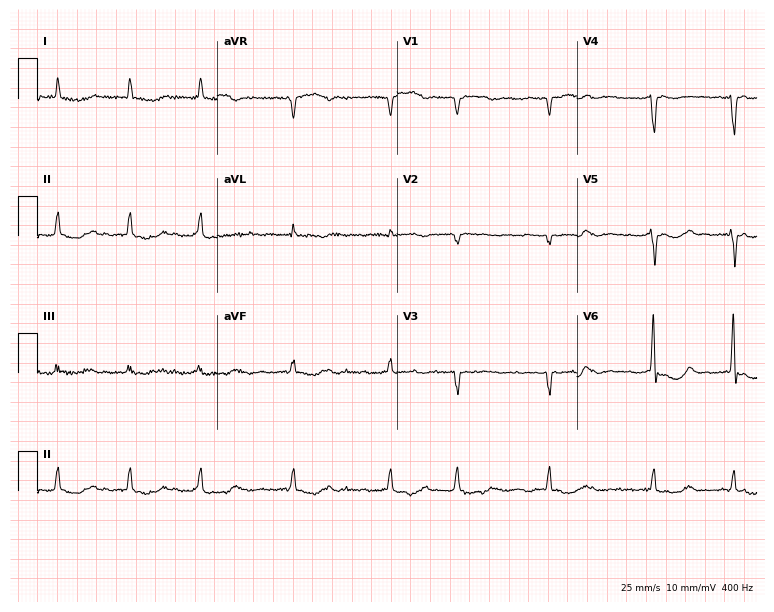
Resting 12-lead electrocardiogram (7.3-second recording at 400 Hz). Patient: a female, 73 years old. The tracing shows atrial fibrillation.